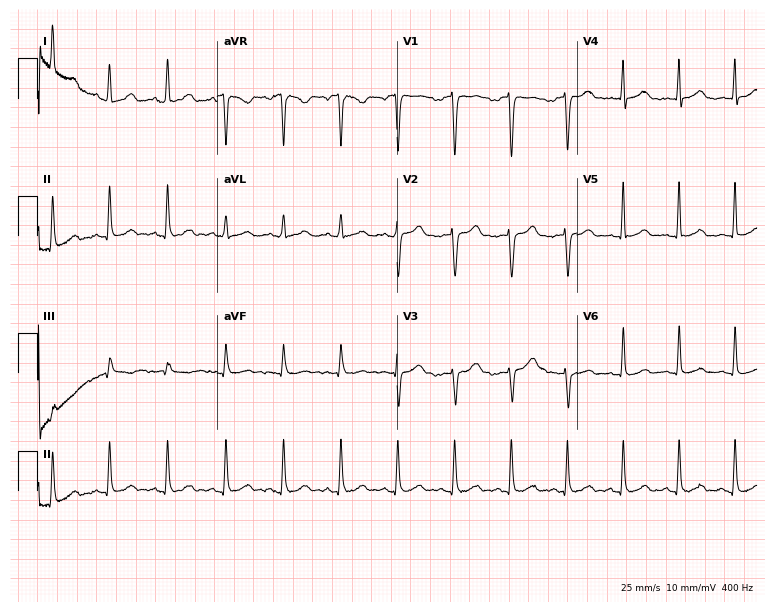
Standard 12-lead ECG recorded from a woman, 34 years old (7.3-second recording at 400 Hz). None of these six findings is recorded: first-degree AV block, right bundle branch block, left bundle branch block, sinus bradycardia, atrial fibrillation, sinus tachycardia.